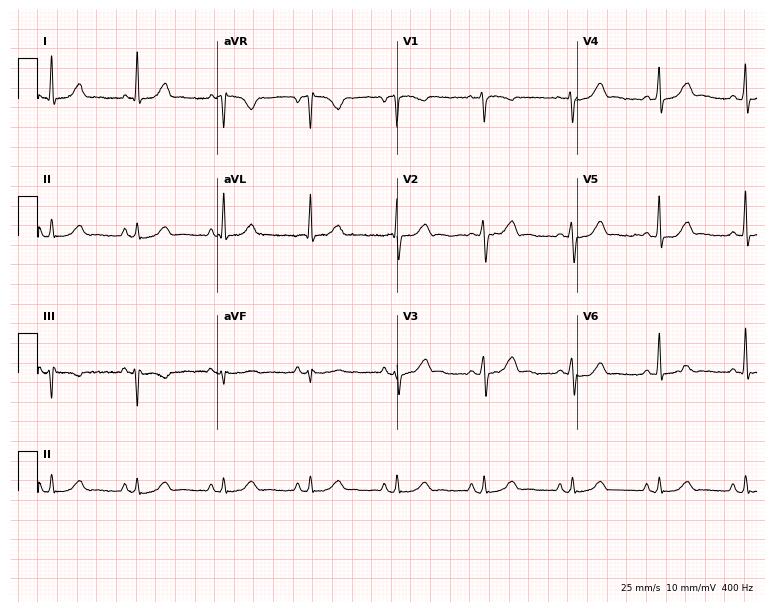
Electrocardiogram (7.3-second recording at 400 Hz), a 41-year-old female. Of the six screened findings (first-degree AV block, right bundle branch block, left bundle branch block, sinus bradycardia, atrial fibrillation, sinus tachycardia), none is recorded.